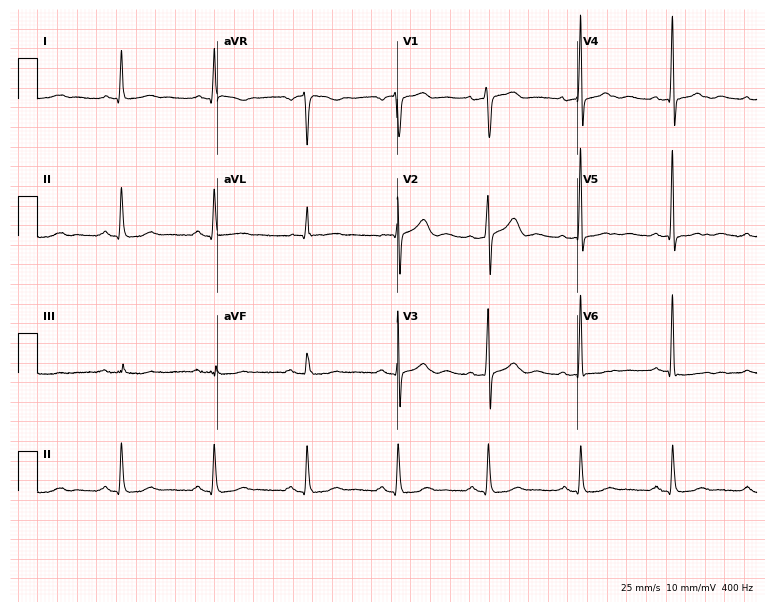
Standard 12-lead ECG recorded from a male, 47 years old (7.3-second recording at 400 Hz). None of these six findings is recorded: first-degree AV block, right bundle branch block, left bundle branch block, sinus bradycardia, atrial fibrillation, sinus tachycardia.